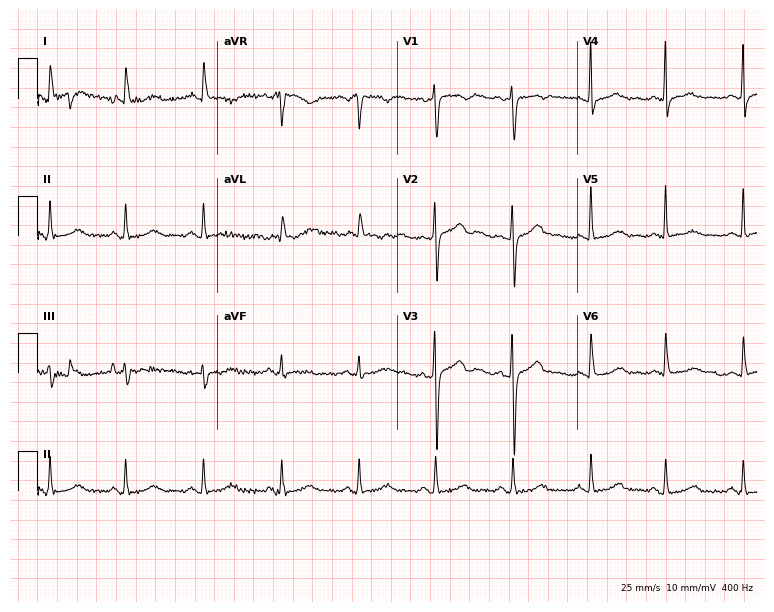
ECG (7.3-second recording at 400 Hz) — a 72-year-old woman. Labelled as a normal ECG.